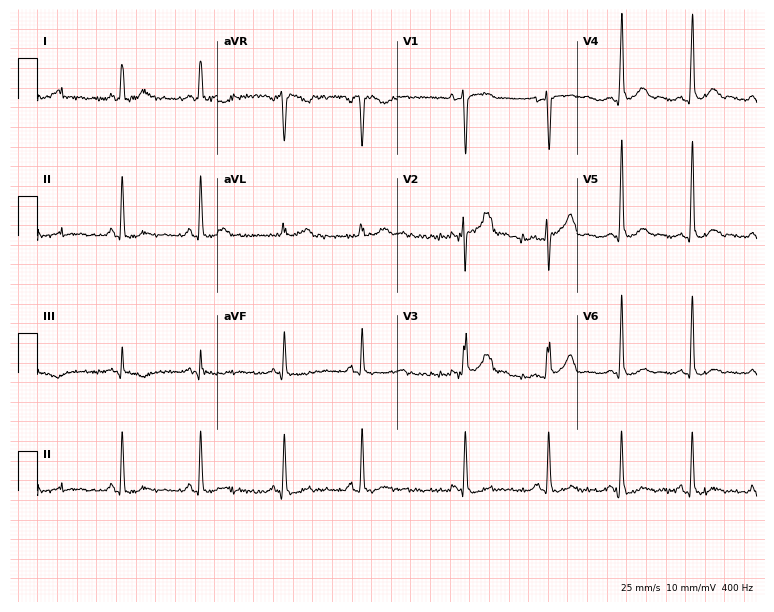
12-lead ECG from a male patient, 28 years old. No first-degree AV block, right bundle branch block (RBBB), left bundle branch block (LBBB), sinus bradycardia, atrial fibrillation (AF) or sinus tachycardia recorded for this tracing.